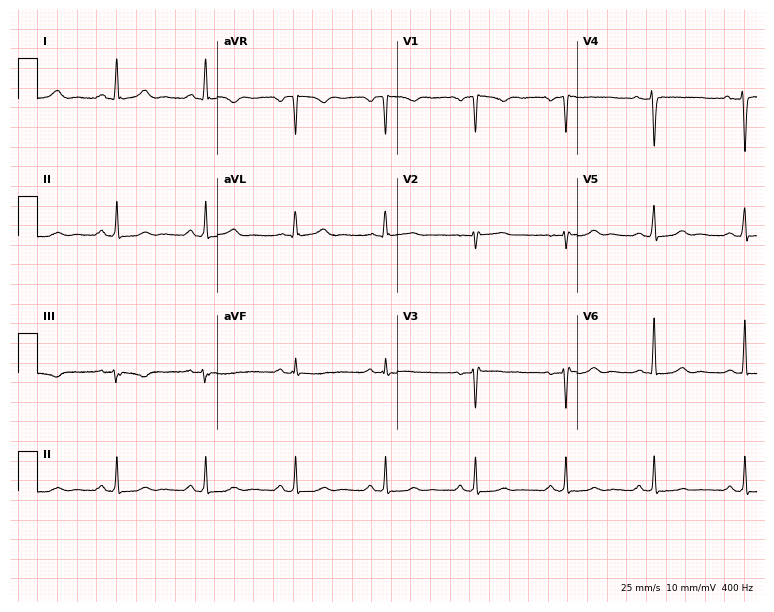
ECG (7.3-second recording at 400 Hz) — a 46-year-old woman. Screened for six findings — first-degree AV block, right bundle branch block, left bundle branch block, sinus bradycardia, atrial fibrillation, sinus tachycardia — none is recorded.